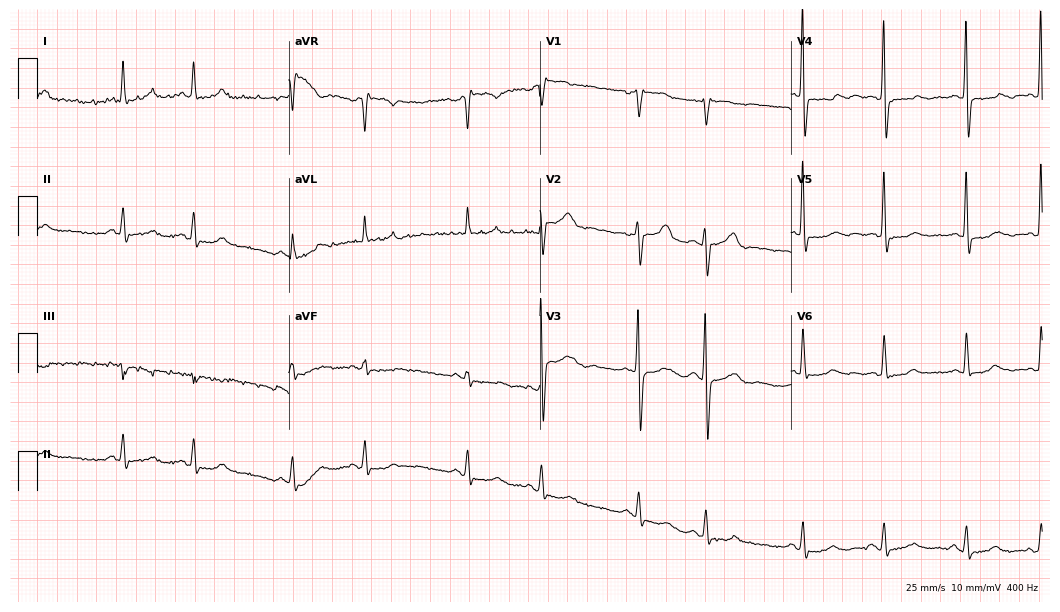
Standard 12-lead ECG recorded from a 74-year-old female patient. None of these six findings is recorded: first-degree AV block, right bundle branch block, left bundle branch block, sinus bradycardia, atrial fibrillation, sinus tachycardia. Only these six findings were labelled.